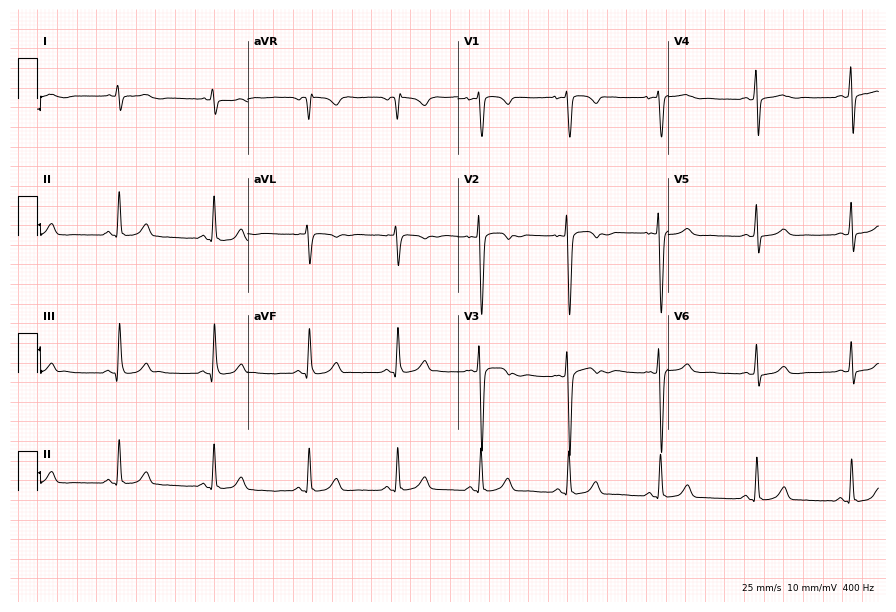
12-lead ECG from a female, 18 years old. No first-degree AV block, right bundle branch block, left bundle branch block, sinus bradycardia, atrial fibrillation or sinus tachycardia recorded for this tracing.